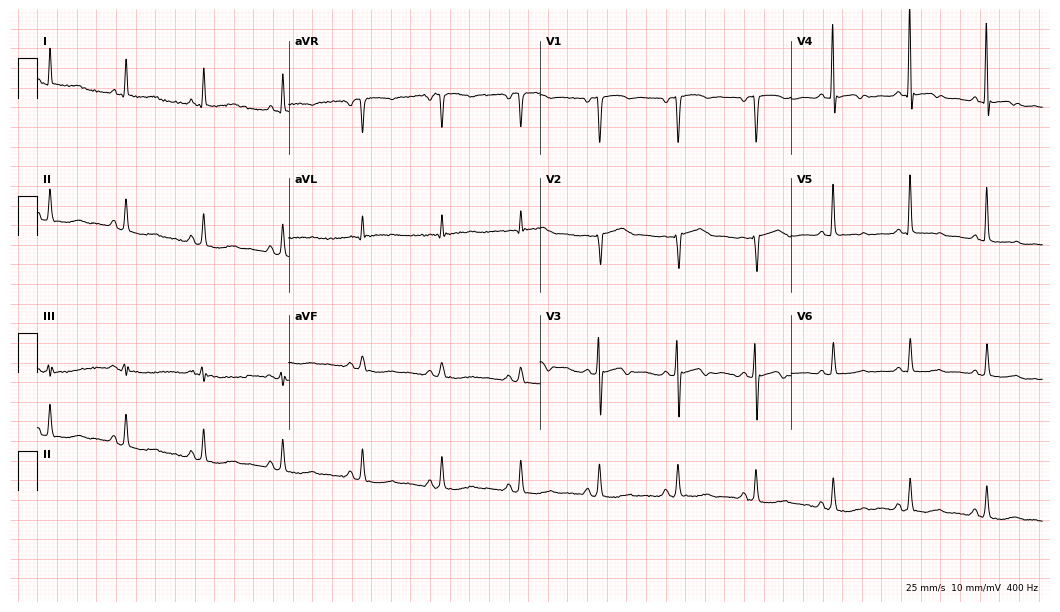
12-lead ECG from a male, 60 years old (10.2-second recording at 400 Hz). No first-degree AV block, right bundle branch block, left bundle branch block, sinus bradycardia, atrial fibrillation or sinus tachycardia recorded for this tracing.